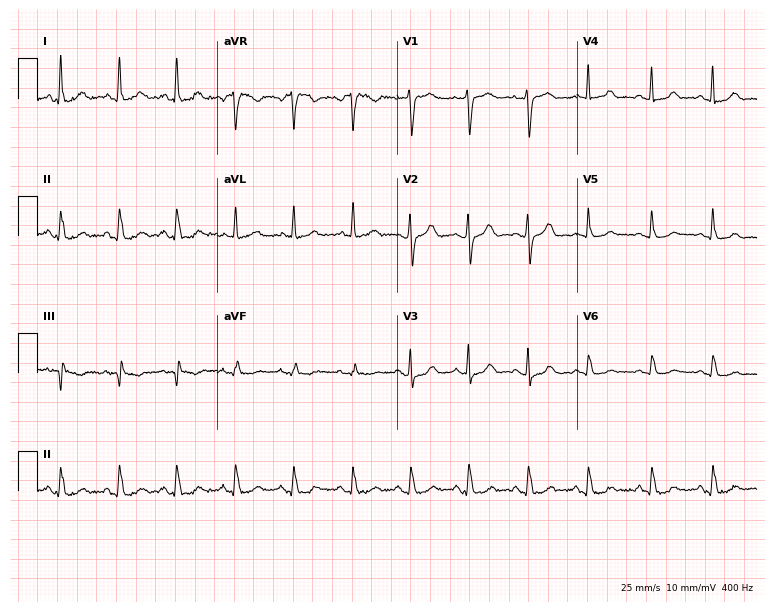
Electrocardiogram, a 69-year-old female patient. Overall reading on record: normal ECG.